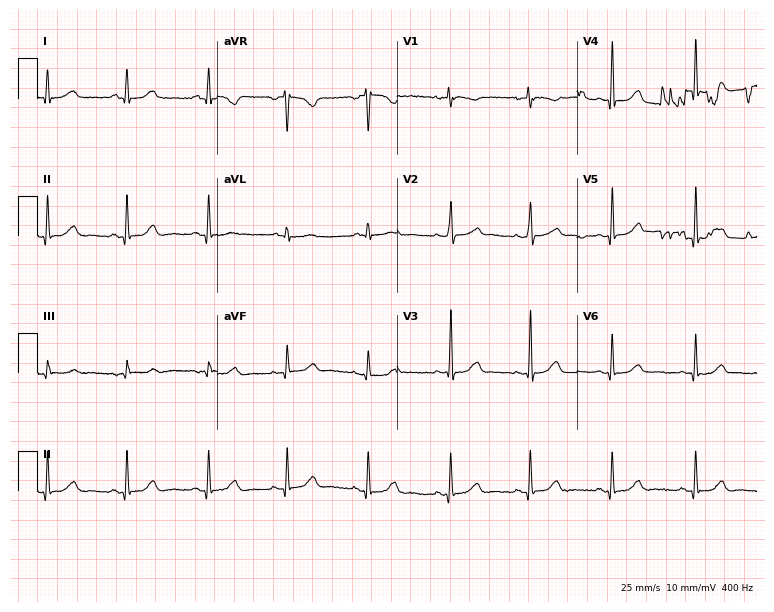
ECG (7.3-second recording at 400 Hz) — a woman, 38 years old. Labelled as a normal ECG.